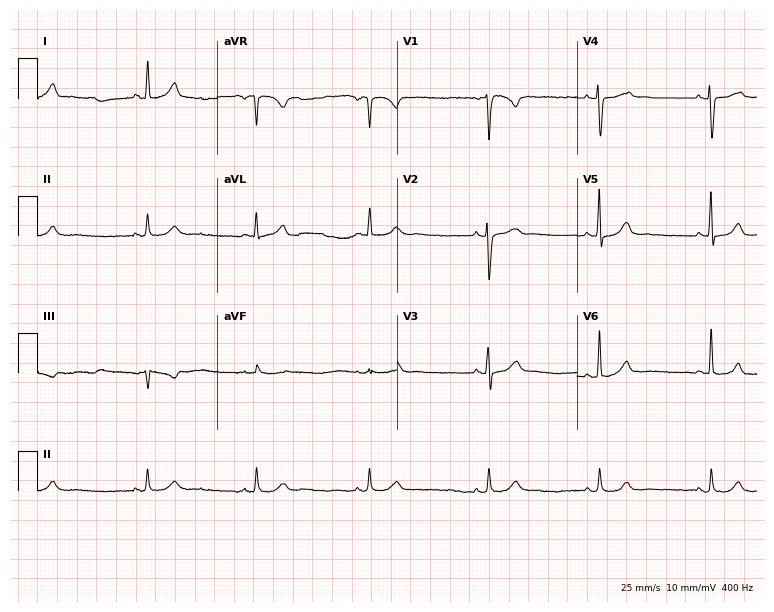
12-lead ECG from a 36-year-old female (7.3-second recording at 400 Hz). Recorded interpretation: within normal limits.